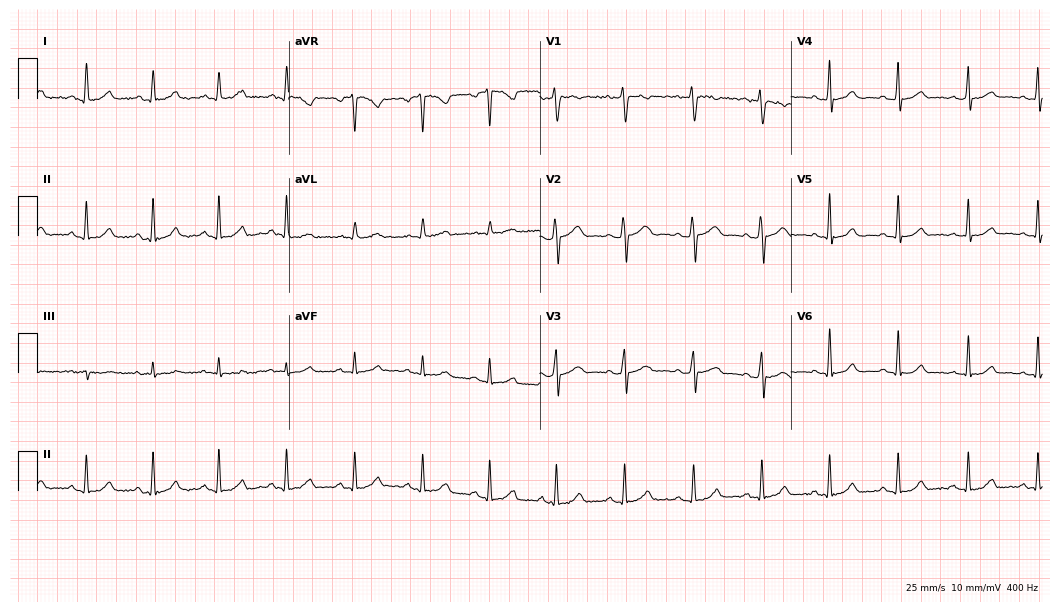
12-lead ECG from a female, 30 years old. Recorded interpretation: within normal limits.